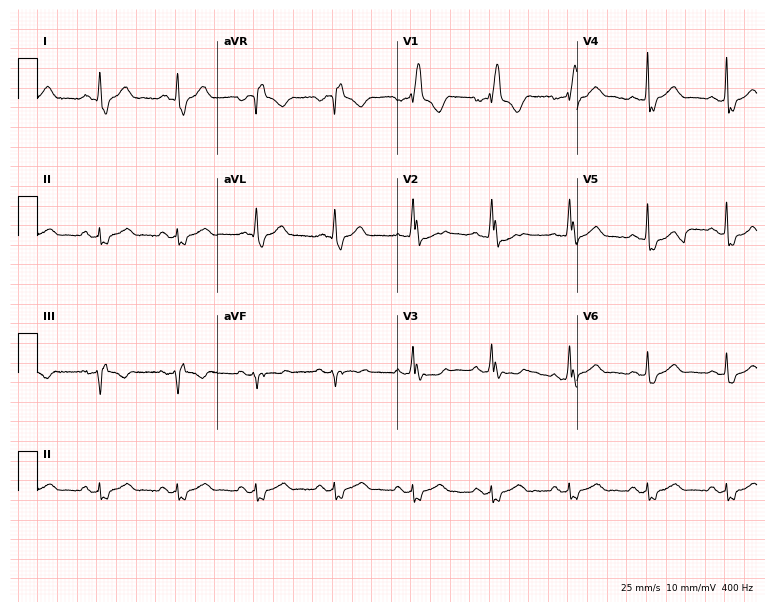
12-lead ECG from a man, 61 years old. Shows right bundle branch block (RBBB).